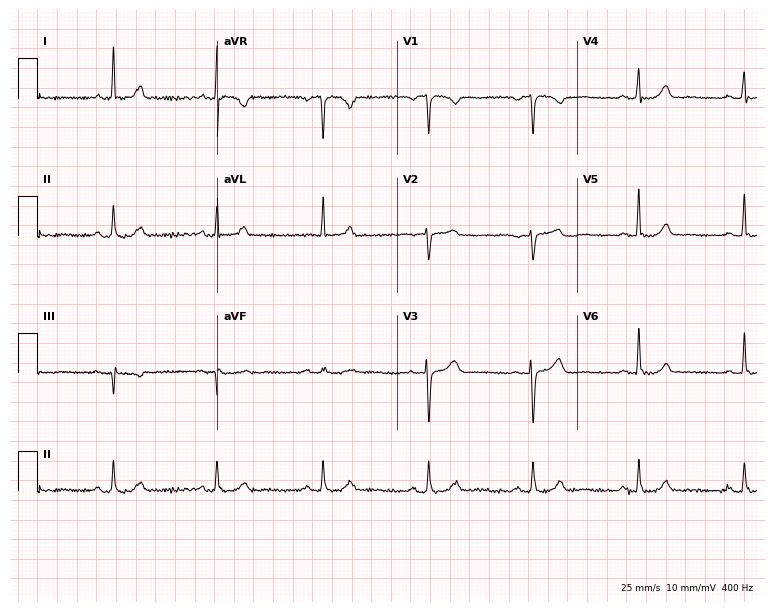
Electrocardiogram (7.3-second recording at 400 Hz), a female patient, 52 years old. Overall reading on record: normal ECG.